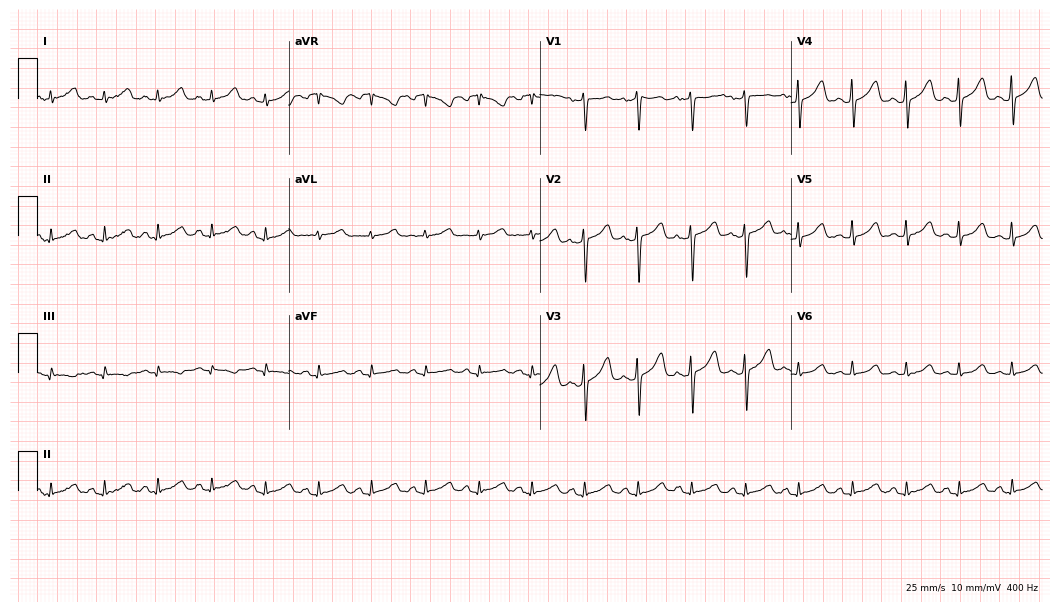
ECG — a female patient, 51 years old. Findings include sinus tachycardia (a sinus rate of 100 beats per minute or more).